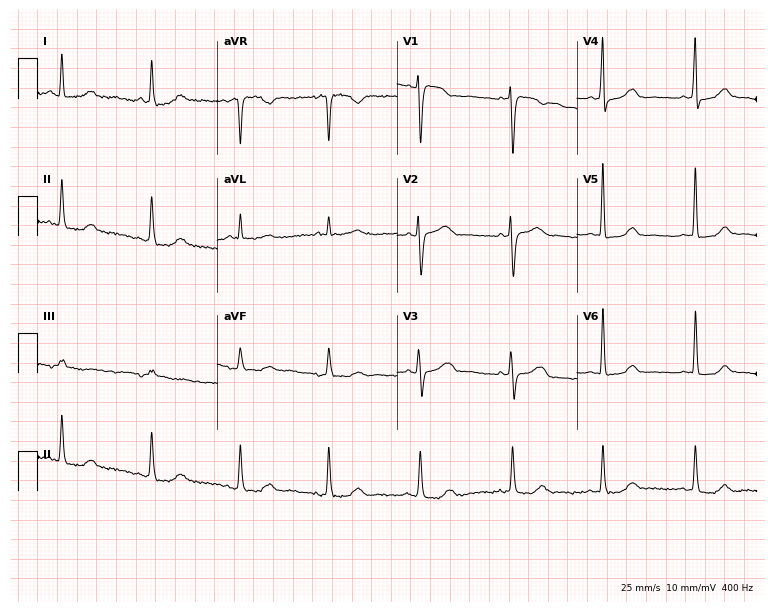
Electrocardiogram (7.3-second recording at 400 Hz), a 68-year-old female. Of the six screened findings (first-degree AV block, right bundle branch block, left bundle branch block, sinus bradycardia, atrial fibrillation, sinus tachycardia), none is recorded. Findings outside these six are not listed.